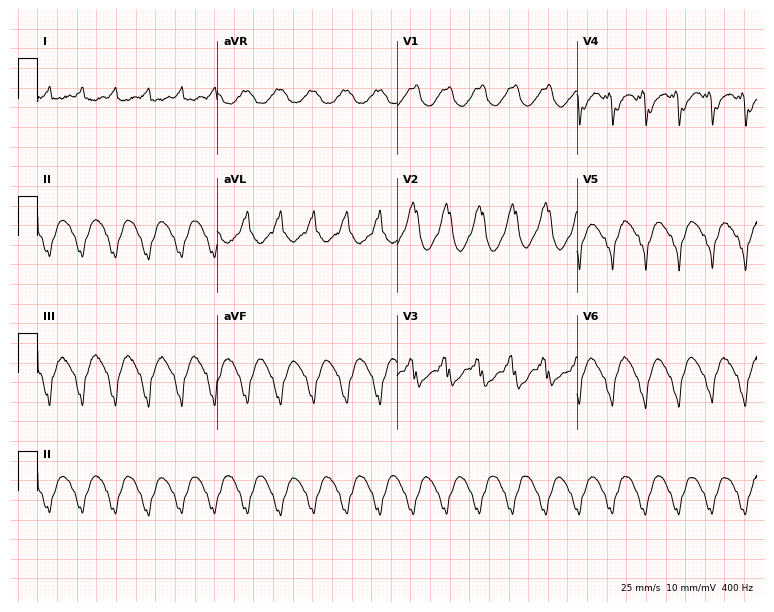
12-lead ECG from a female, 62 years old. No first-degree AV block, right bundle branch block (RBBB), left bundle branch block (LBBB), sinus bradycardia, atrial fibrillation (AF) or sinus tachycardia recorded for this tracing.